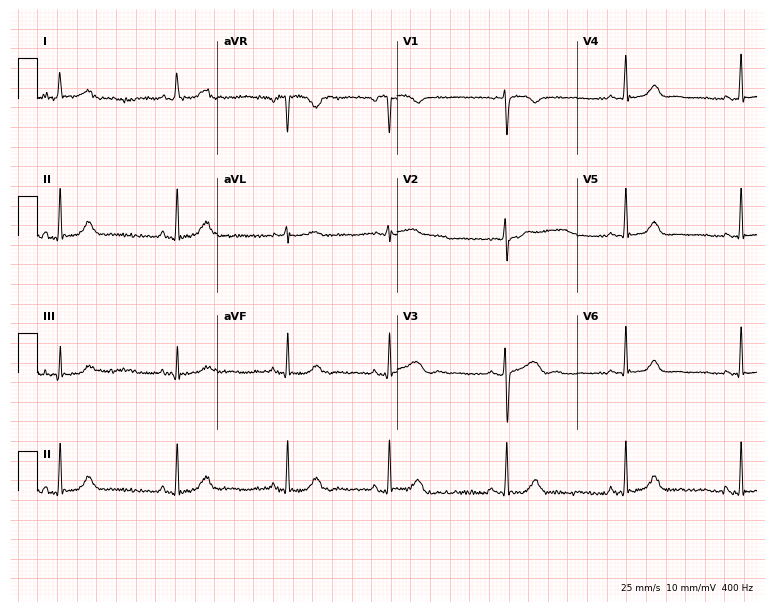
Standard 12-lead ECG recorded from a woman, 24 years old. None of these six findings is recorded: first-degree AV block, right bundle branch block, left bundle branch block, sinus bradycardia, atrial fibrillation, sinus tachycardia.